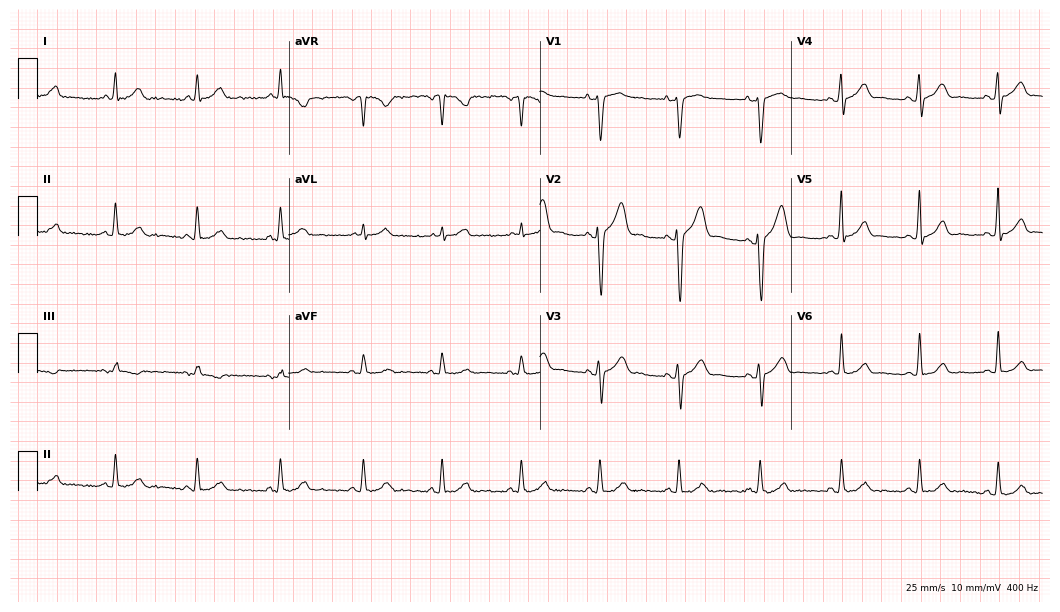
12-lead ECG from a man, 26 years old. Labelled as a normal ECG.